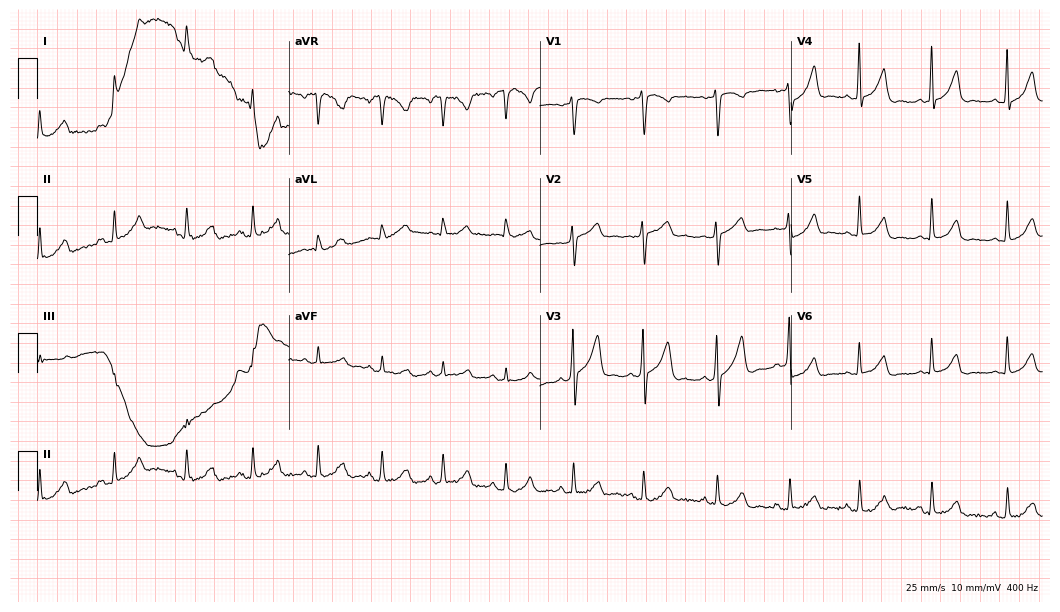
Standard 12-lead ECG recorded from a 30-year-old woman. None of these six findings is recorded: first-degree AV block, right bundle branch block (RBBB), left bundle branch block (LBBB), sinus bradycardia, atrial fibrillation (AF), sinus tachycardia.